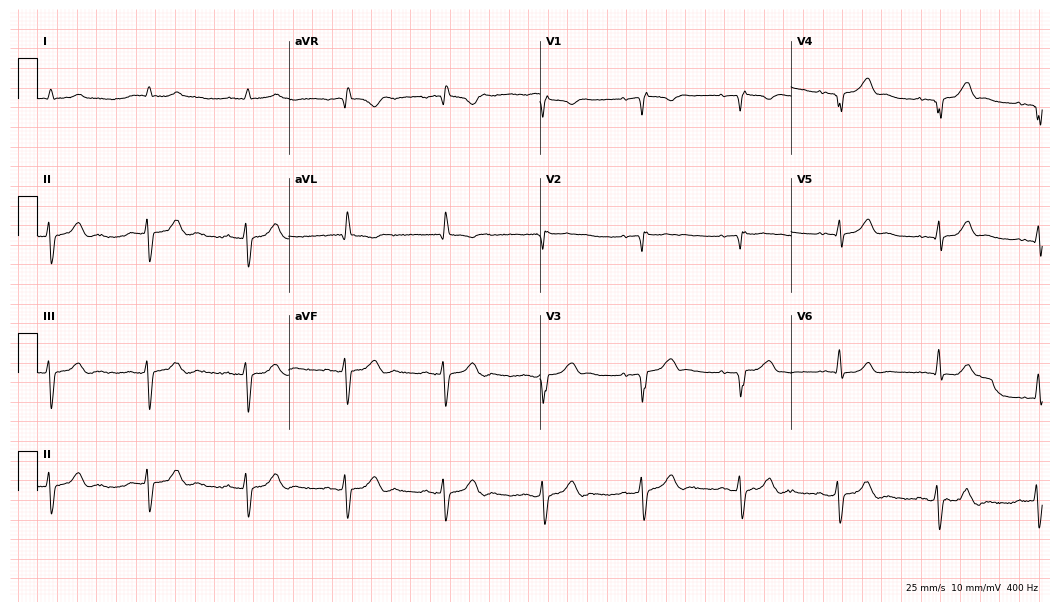
Standard 12-lead ECG recorded from a male patient, 82 years old. None of these six findings is recorded: first-degree AV block, right bundle branch block (RBBB), left bundle branch block (LBBB), sinus bradycardia, atrial fibrillation (AF), sinus tachycardia.